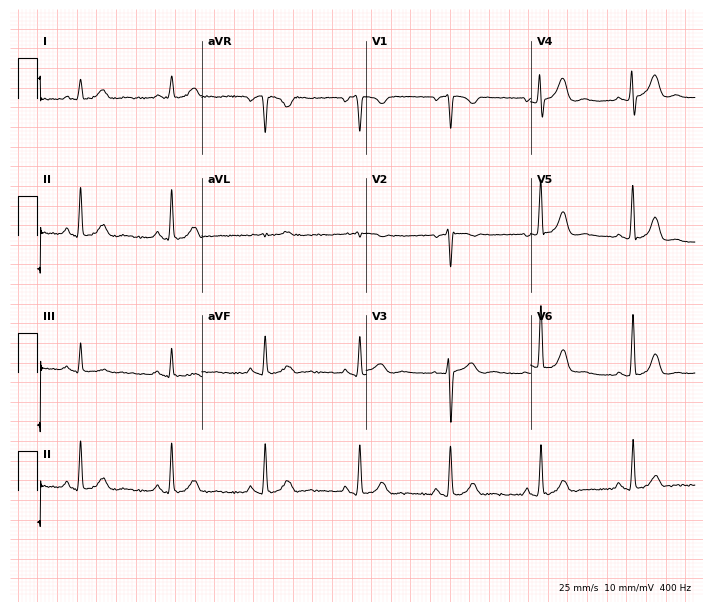
12-lead ECG from a female, 33 years old. Recorded interpretation: within normal limits.